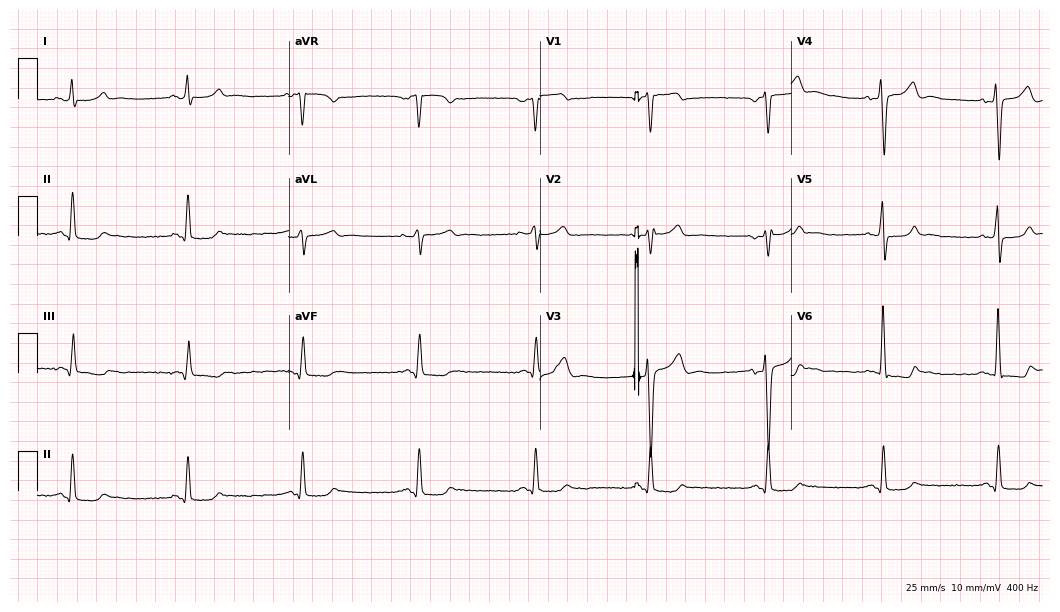
Standard 12-lead ECG recorded from a 37-year-old male patient (10.2-second recording at 400 Hz). None of these six findings is recorded: first-degree AV block, right bundle branch block (RBBB), left bundle branch block (LBBB), sinus bradycardia, atrial fibrillation (AF), sinus tachycardia. Only these six findings were labelled.